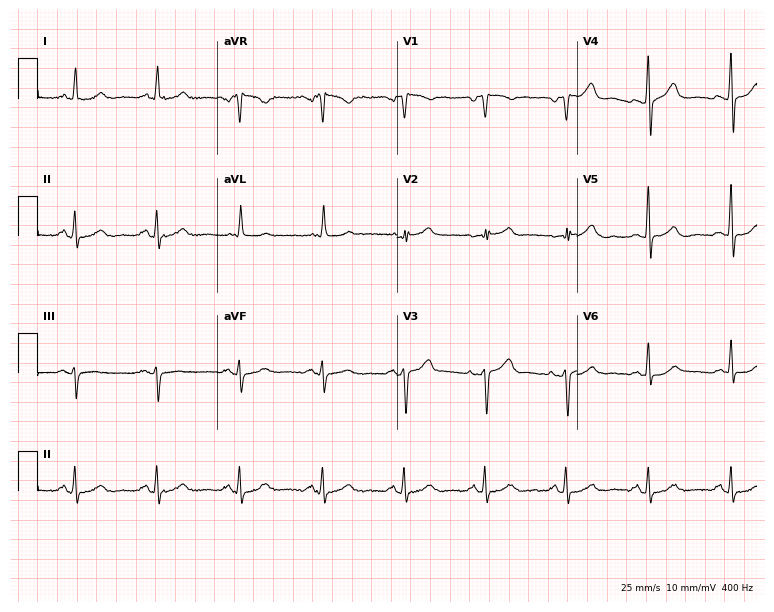
12-lead ECG from a 63-year-old woman. Labelled as a normal ECG.